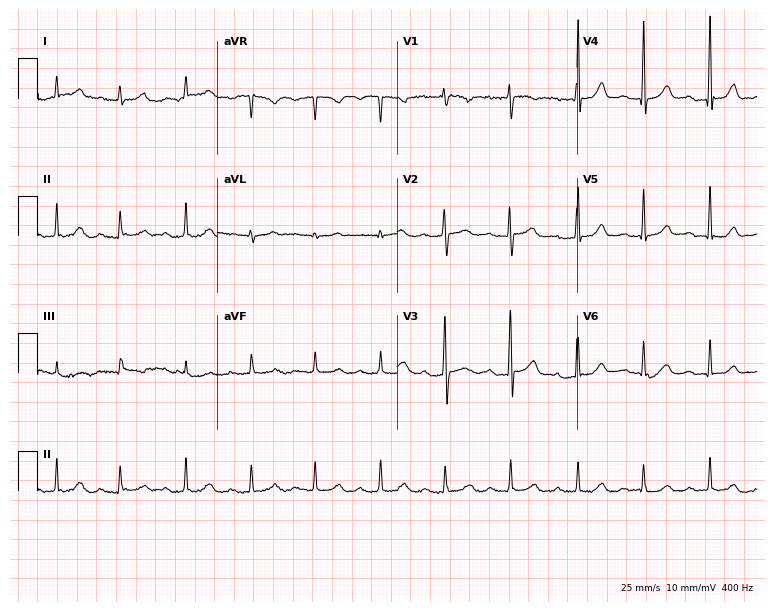
Standard 12-lead ECG recorded from a female patient, 26 years old (7.3-second recording at 400 Hz). Read as a normal ECG.